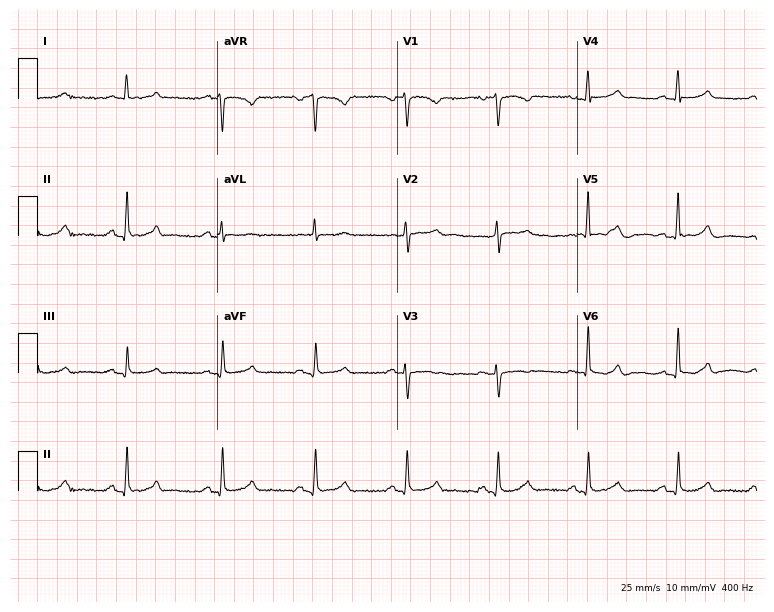
12-lead ECG (7.3-second recording at 400 Hz) from a 50-year-old female. Labelled as a normal ECG.